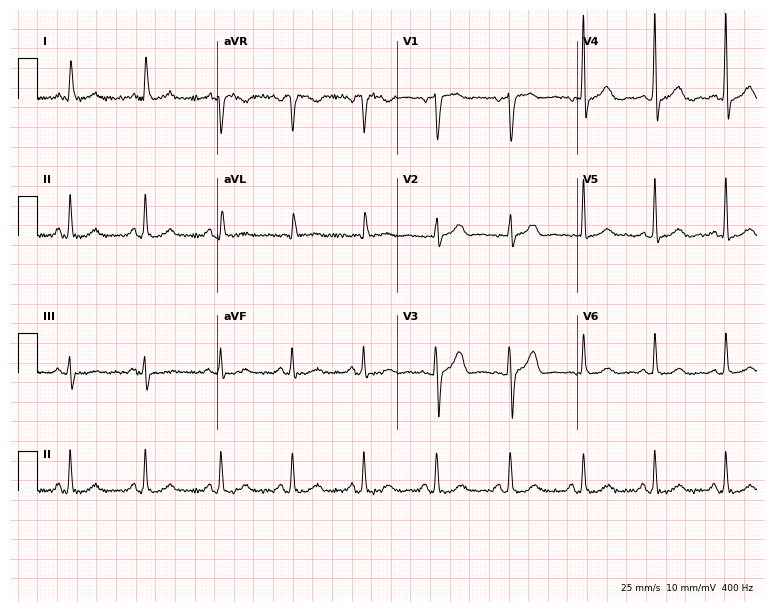
Resting 12-lead electrocardiogram. Patient: a 63-year-old female. Read as a normal ECG.